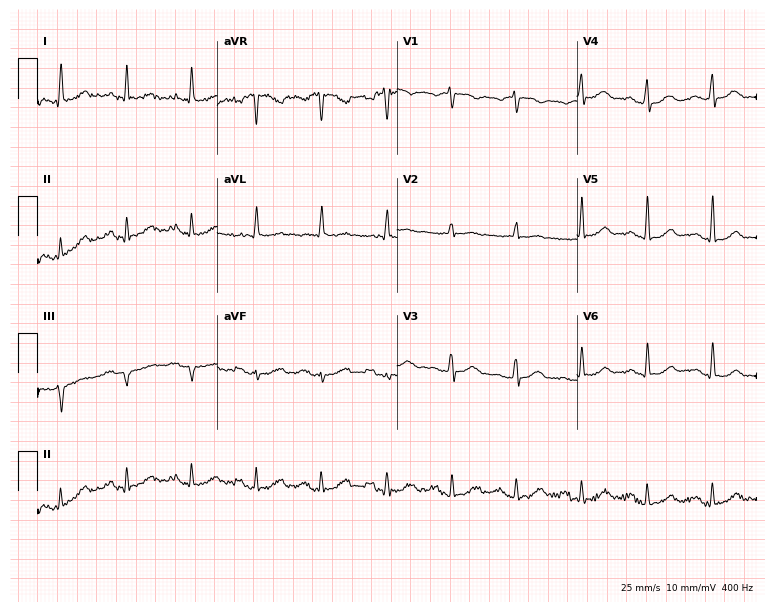
12-lead ECG from a 71-year-old female (7.3-second recording at 400 Hz). No first-degree AV block, right bundle branch block, left bundle branch block, sinus bradycardia, atrial fibrillation or sinus tachycardia recorded for this tracing. Only these six findings were labelled.